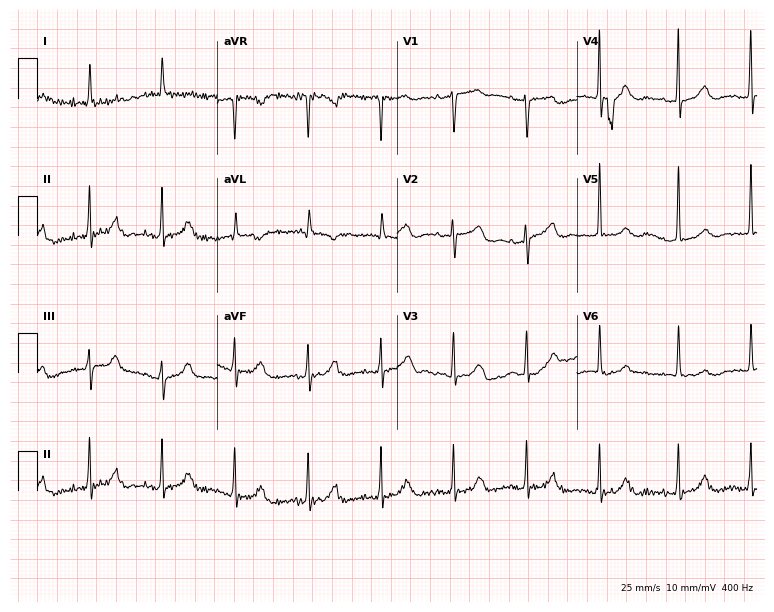
12-lead ECG from a female, 82 years old. Screened for six findings — first-degree AV block, right bundle branch block, left bundle branch block, sinus bradycardia, atrial fibrillation, sinus tachycardia — none is recorded.